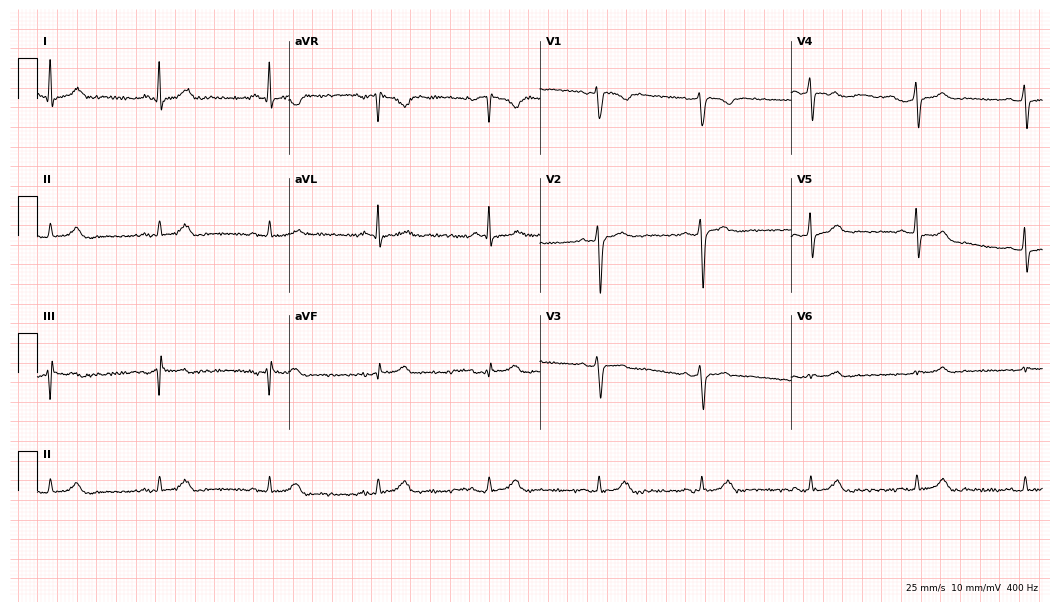
ECG — a man, 33 years old. Labelled as a normal ECG.